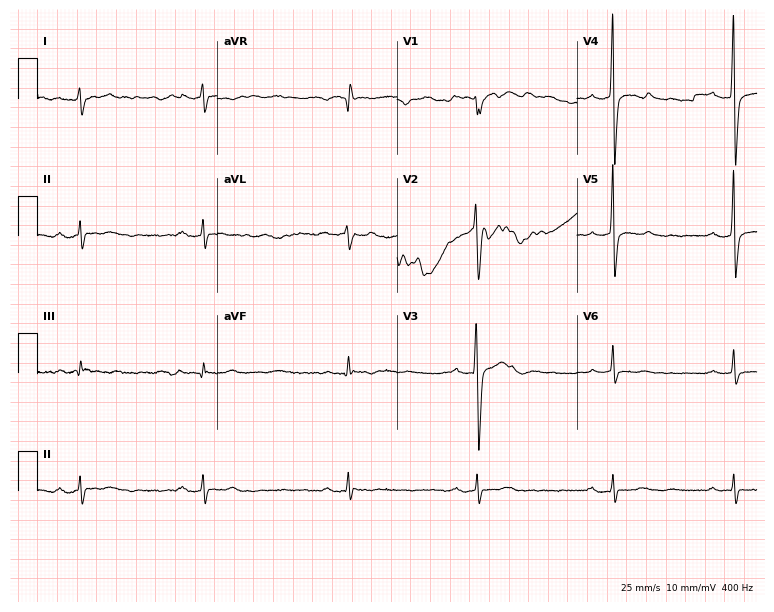
12-lead ECG from a man, 47 years old. Findings include first-degree AV block, sinus bradycardia (a sinus rate of 50 beats per minute or less).